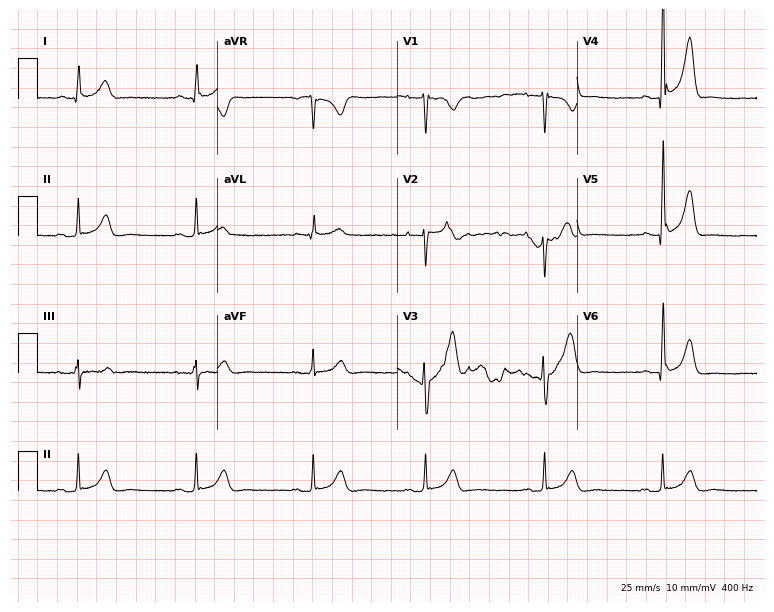
Electrocardiogram (7.3-second recording at 400 Hz), a 39-year-old male. Overall reading on record: normal ECG.